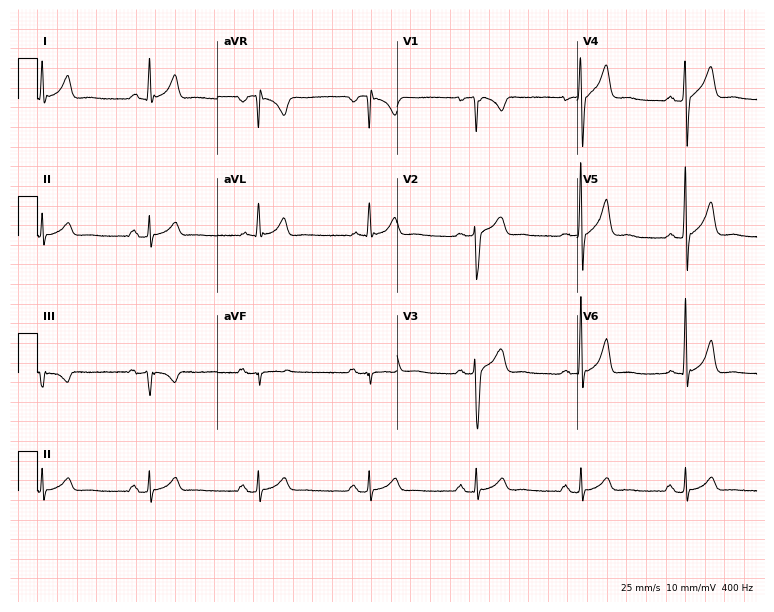
Standard 12-lead ECG recorded from a male, 48 years old (7.3-second recording at 400 Hz). Read as a normal ECG.